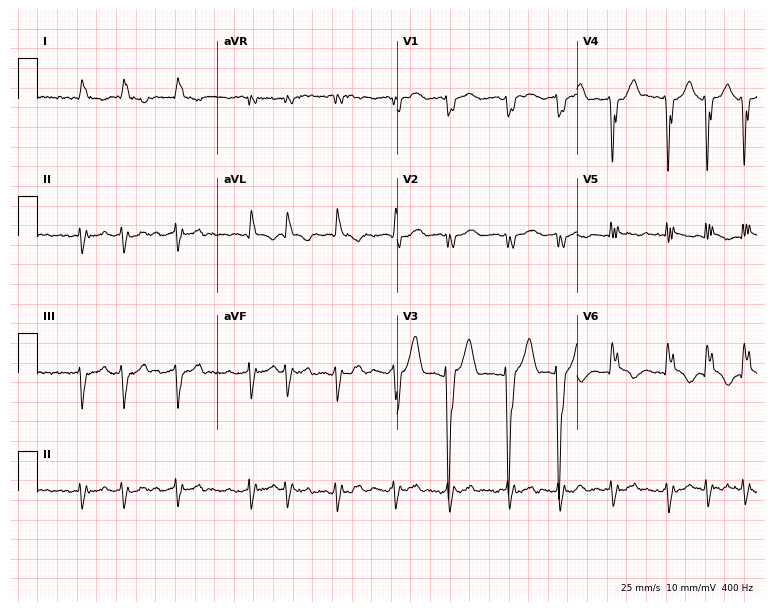
ECG (7.3-second recording at 400 Hz) — a male, 82 years old. Findings include right bundle branch block, atrial fibrillation.